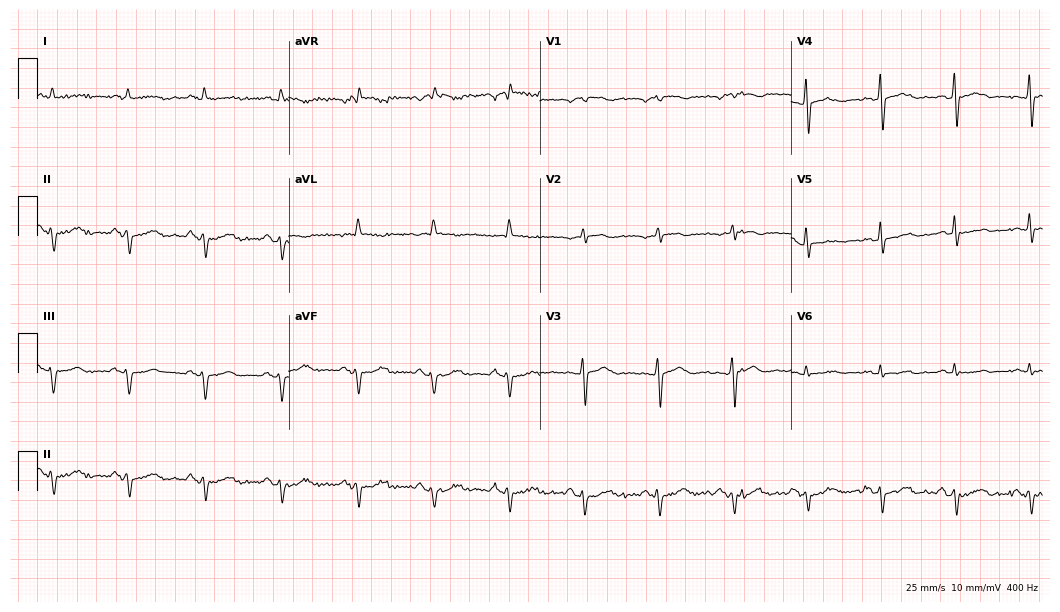
12-lead ECG (10.2-second recording at 400 Hz) from a 64-year-old male. Screened for six findings — first-degree AV block, right bundle branch block, left bundle branch block, sinus bradycardia, atrial fibrillation, sinus tachycardia — none is recorded. Other findings, if any, are not listed.